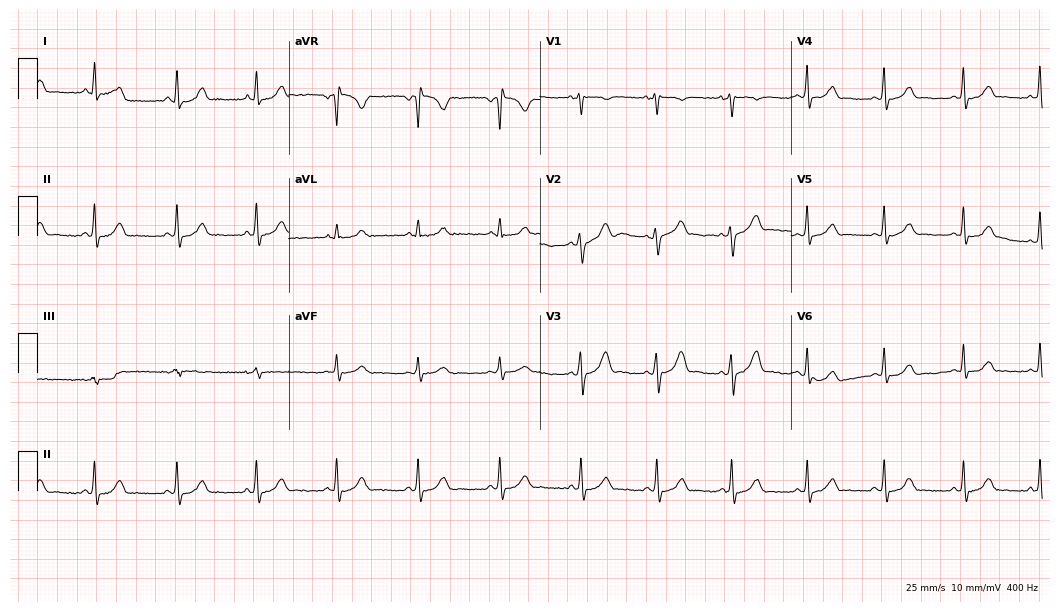
Resting 12-lead electrocardiogram (10.2-second recording at 400 Hz). Patient: a 29-year-old female. None of these six findings is recorded: first-degree AV block, right bundle branch block (RBBB), left bundle branch block (LBBB), sinus bradycardia, atrial fibrillation (AF), sinus tachycardia.